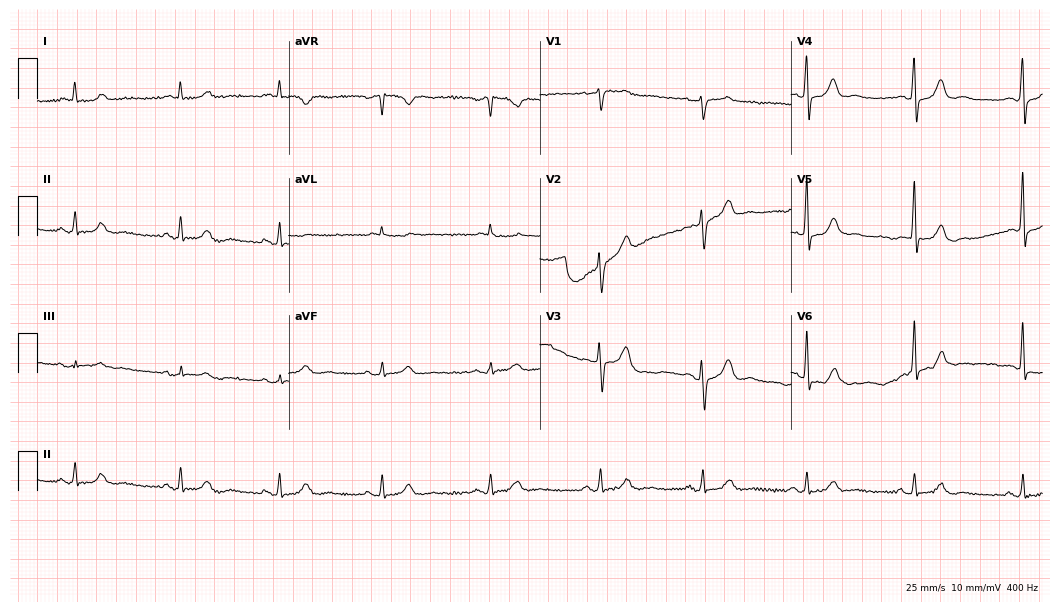
12-lead ECG from a male, 62 years old. Recorded interpretation: within normal limits.